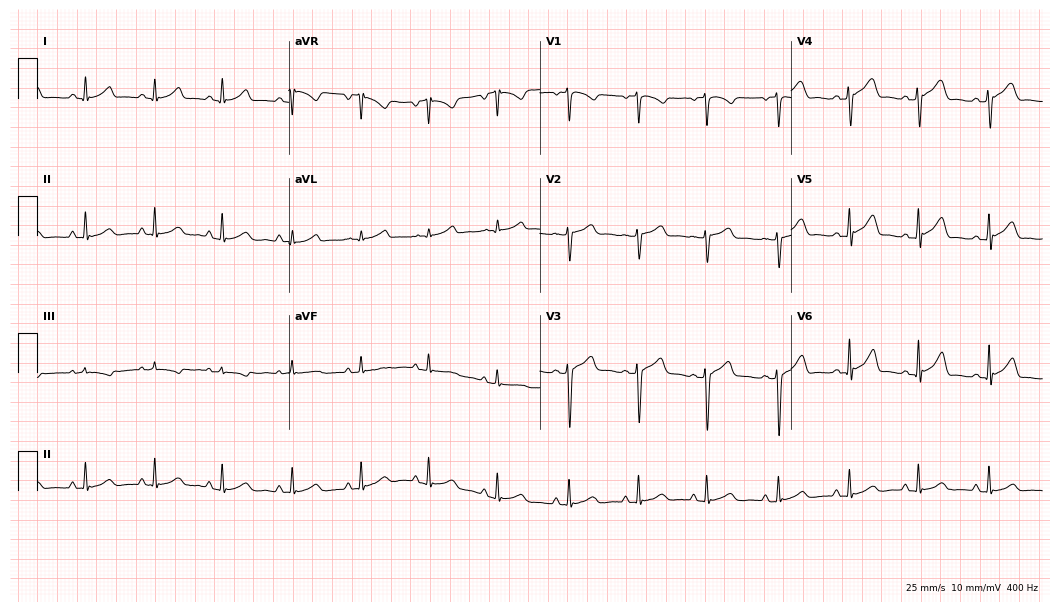
Electrocardiogram (10.2-second recording at 400 Hz), a female patient, 17 years old. Overall reading on record: normal ECG.